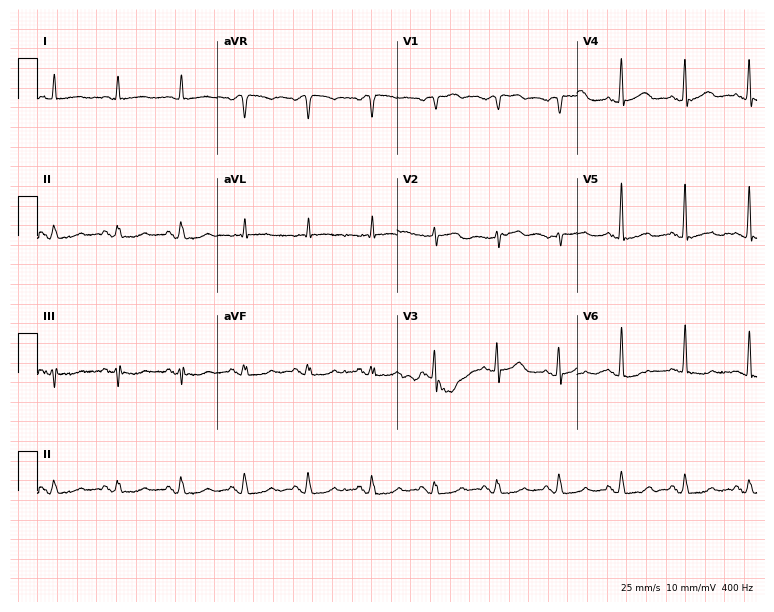
ECG (7.3-second recording at 400 Hz) — a man, 82 years old. Screened for six findings — first-degree AV block, right bundle branch block, left bundle branch block, sinus bradycardia, atrial fibrillation, sinus tachycardia — none is recorded. Only these six findings were labelled.